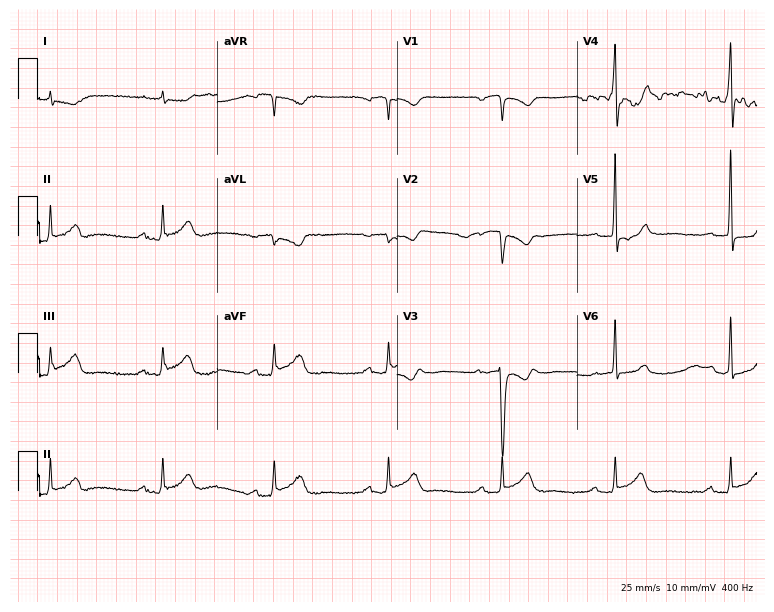
Standard 12-lead ECG recorded from an 85-year-old man. The tracing shows first-degree AV block.